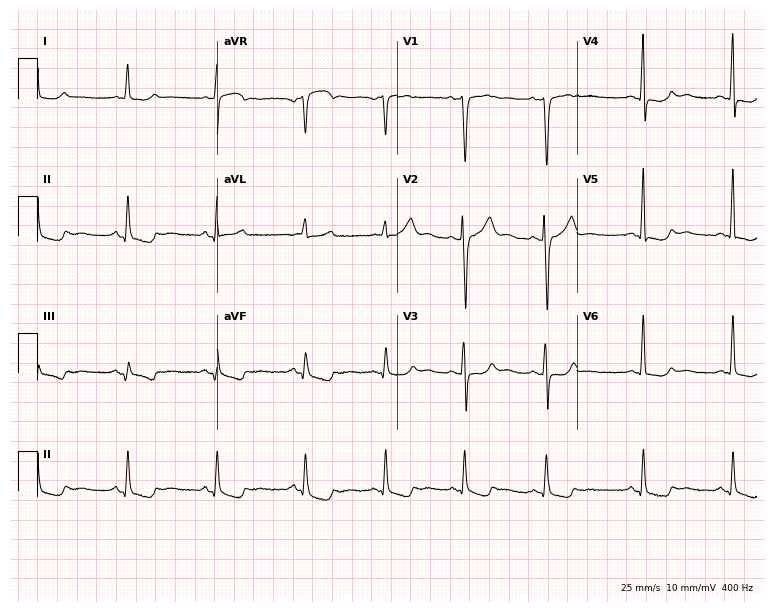
ECG — a female, 67 years old. Screened for six findings — first-degree AV block, right bundle branch block (RBBB), left bundle branch block (LBBB), sinus bradycardia, atrial fibrillation (AF), sinus tachycardia — none is recorded. Other findings, if any, are not listed.